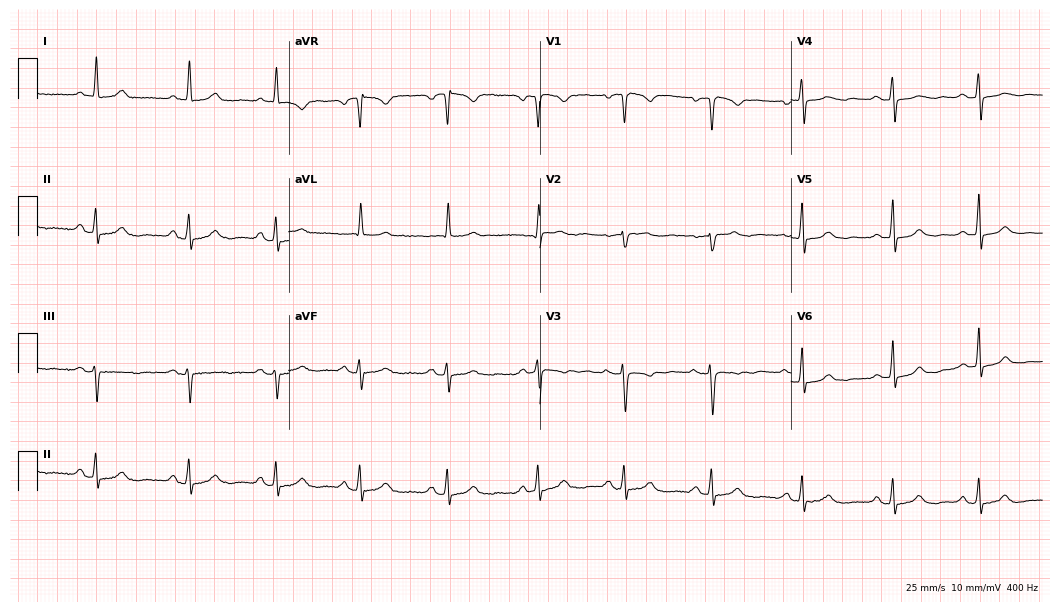
Standard 12-lead ECG recorded from a 55-year-old woman (10.2-second recording at 400 Hz). None of these six findings is recorded: first-degree AV block, right bundle branch block (RBBB), left bundle branch block (LBBB), sinus bradycardia, atrial fibrillation (AF), sinus tachycardia. Only these six findings were labelled.